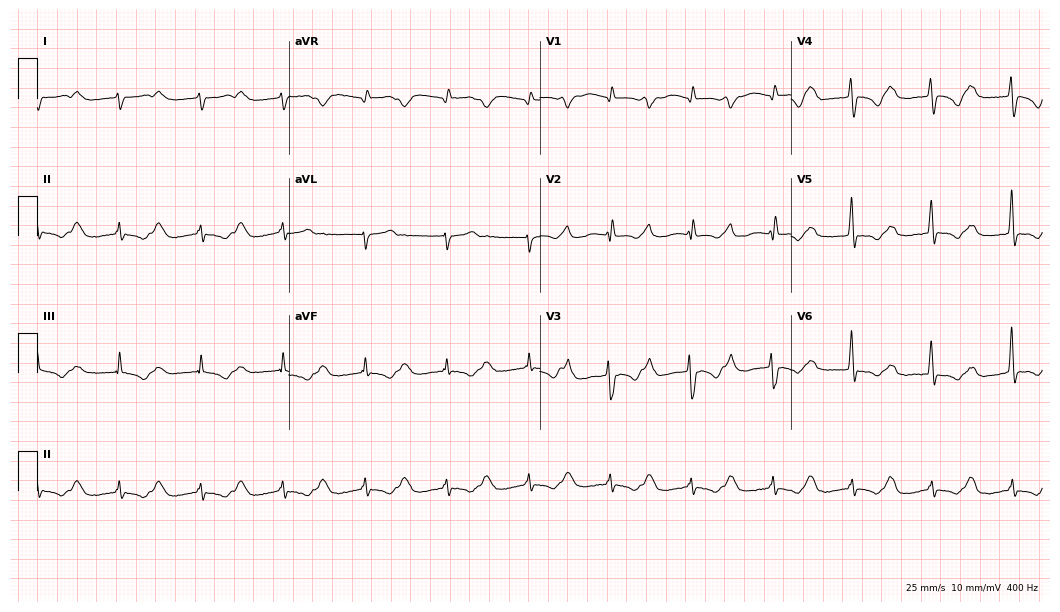
Electrocardiogram, a 41-year-old female patient. Of the six screened findings (first-degree AV block, right bundle branch block, left bundle branch block, sinus bradycardia, atrial fibrillation, sinus tachycardia), none is recorded. Only these six findings were labelled.